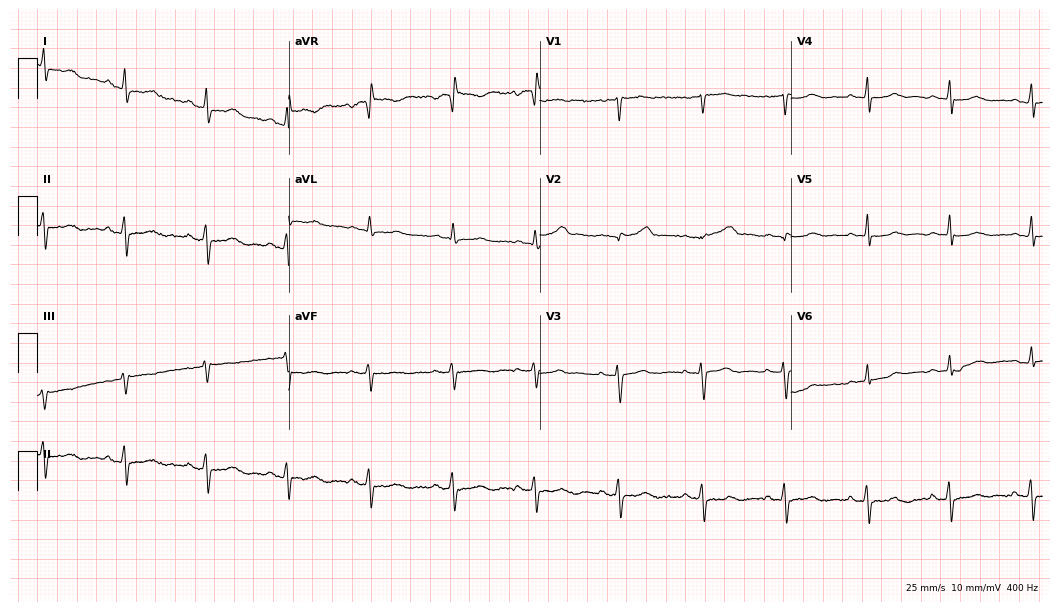
Resting 12-lead electrocardiogram. Patient: a female, 60 years old. None of these six findings is recorded: first-degree AV block, right bundle branch block, left bundle branch block, sinus bradycardia, atrial fibrillation, sinus tachycardia. Findings outside these six are not listed.